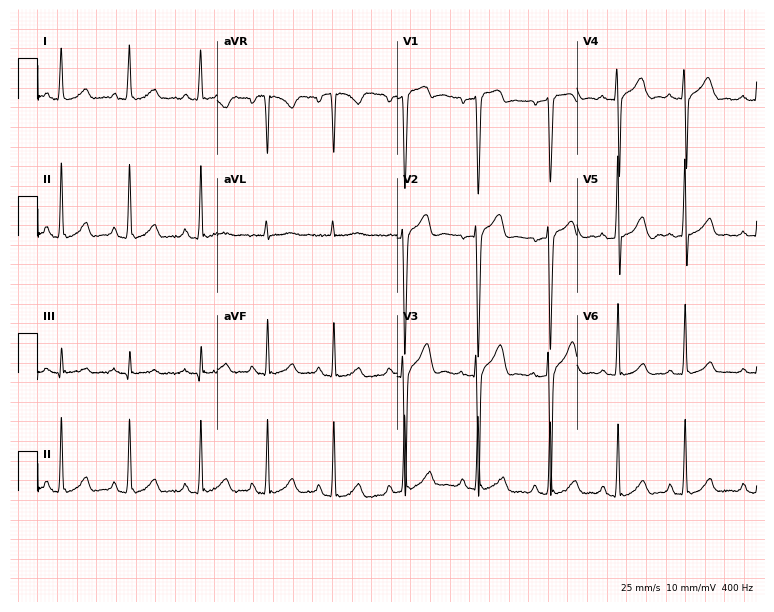
12-lead ECG from a man, 27 years old (7.3-second recording at 400 Hz). Recorded interpretation: within normal limits.